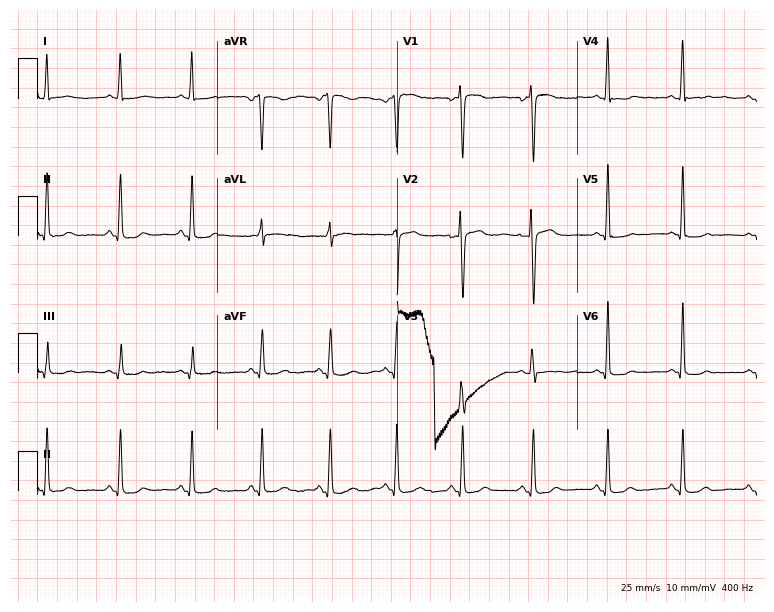
Resting 12-lead electrocardiogram. Patient: a 31-year-old female. None of these six findings is recorded: first-degree AV block, right bundle branch block, left bundle branch block, sinus bradycardia, atrial fibrillation, sinus tachycardia. Findings outside these six are not listed.